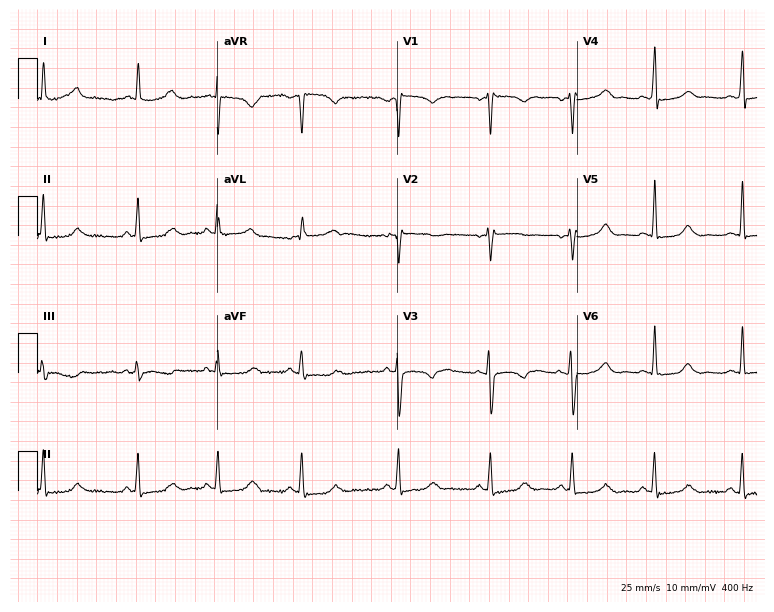
12-lead ECG from a 32-year-old female patient. Recorded interpretation: within normal limits.